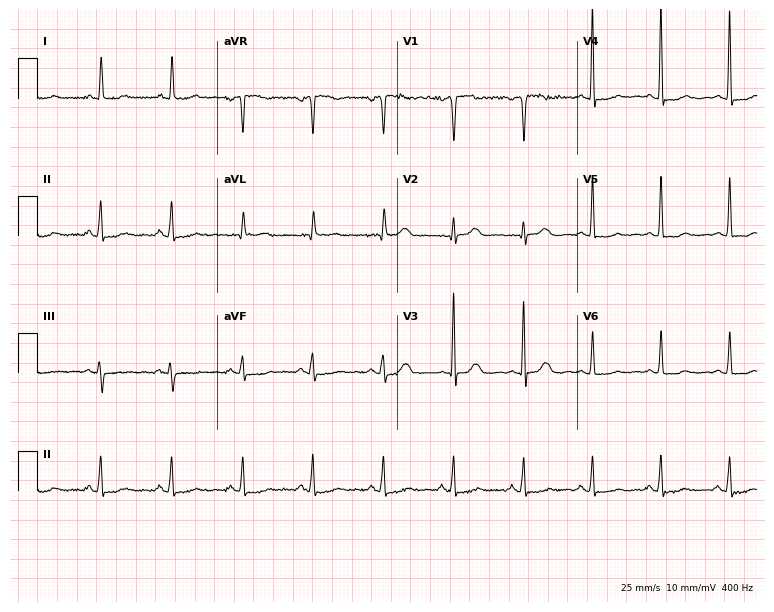
Standard 12-lead ECG recorded from a 43-year-old woman. Read as a normal ECG.